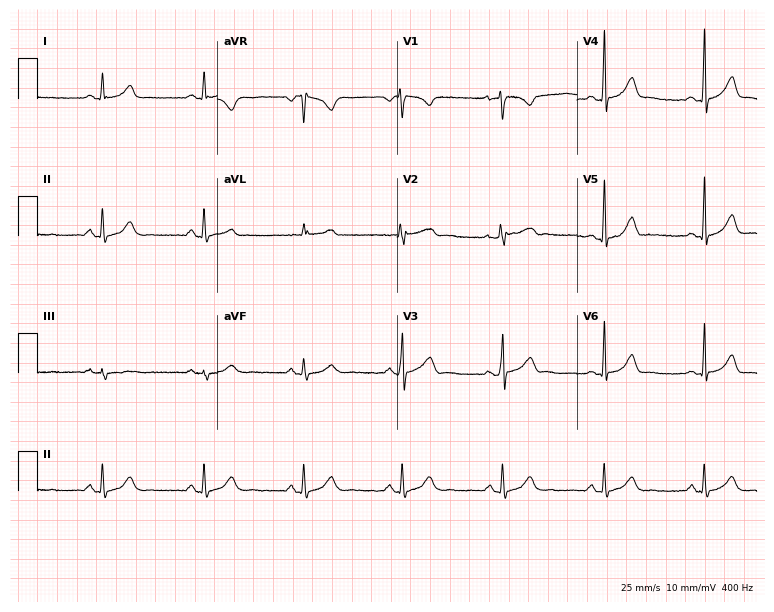
Electrocardiogram, a 35-year-old woman. Of the six screened findings (first-degree AV block, right bundle branch block, left bundle branch block, sinus bradycardia, atrial fibrillation, sinus tachycardia), none is recorded.